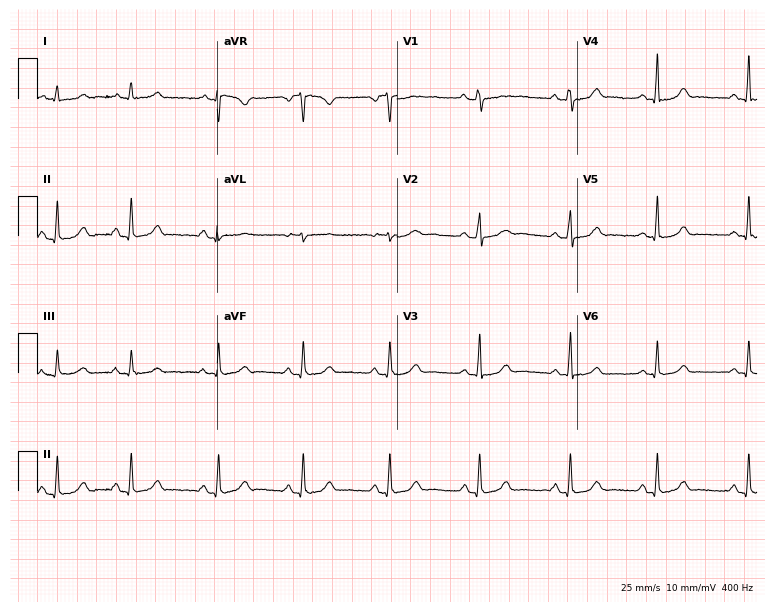
ECG (7.3-second recording at 400 Hz) — a 27-year-old woman. Screened for six findings — first-degree AV block, right bundle branch block, left bundle branch block, sinus bradycardia, atrial fibrillation, sinus tachycardia — none is recorded. Other findings, if any, are not listed.